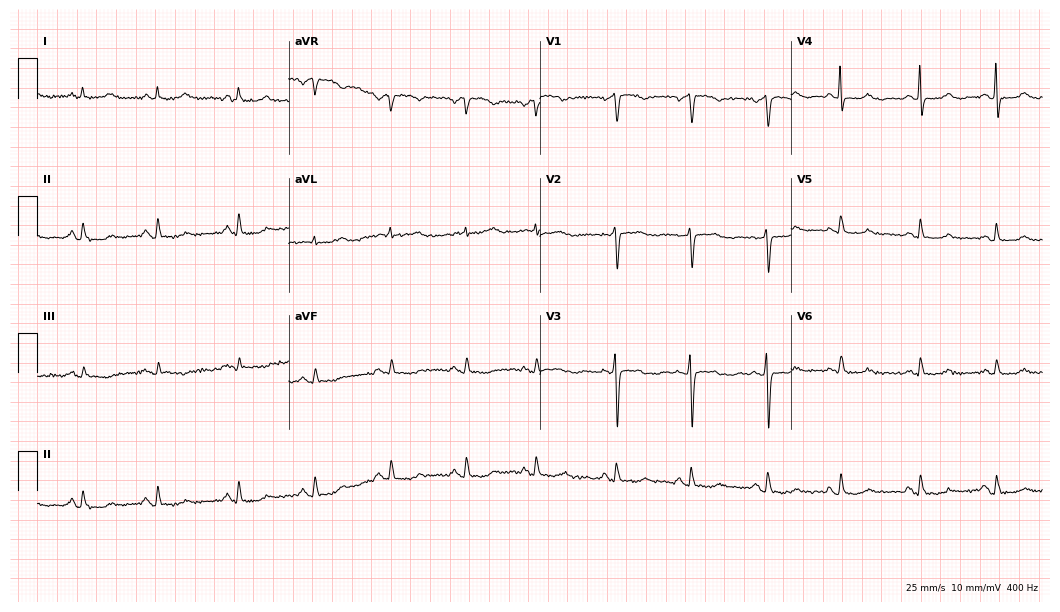
Resting 12-lead electrocardiogram (10.2-second recording at 400 Hz). Patient: a female, 75 years old. None of these six findings is recorded: first-degree AV block, right bundle branch block, left bundle branch block, sinus bradycardia, atrial fibrillation, sinus tachycardia. Only these six findings were labelled.